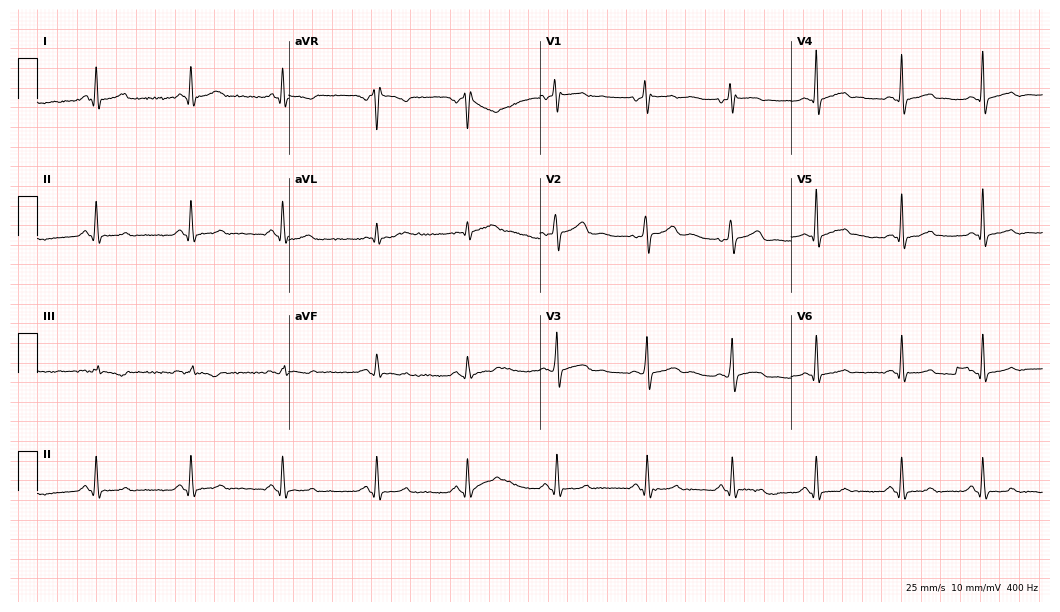
12-lead ECG from a female patient, 37 years old (10.2-second recording at 400 Hz). Recorded interpretation: within normal limits.